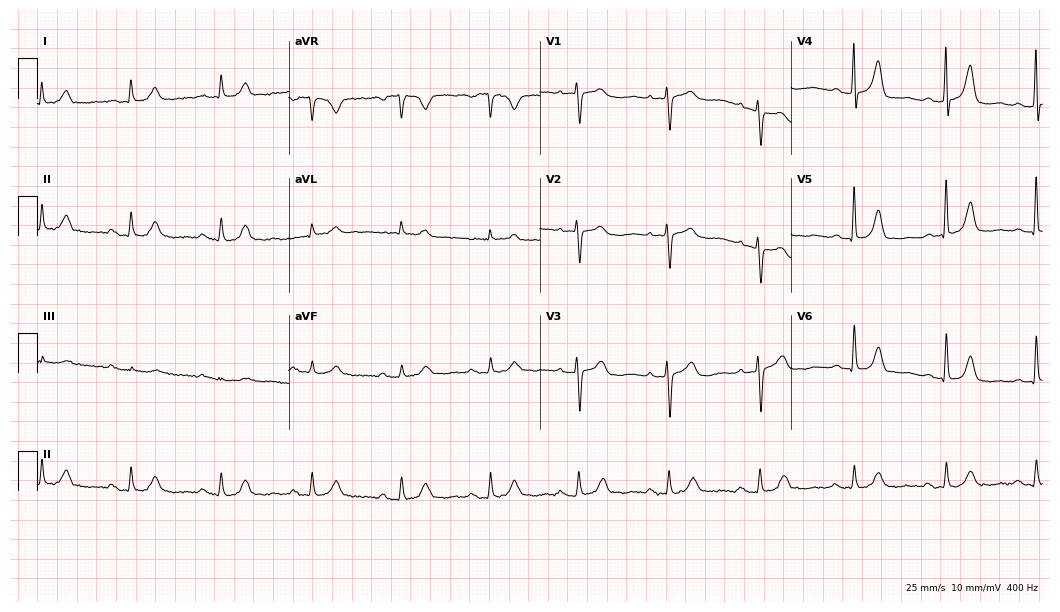
Standard 12-lead ECG recorded from an 85-year-old female patient. Read as a normal ECG.